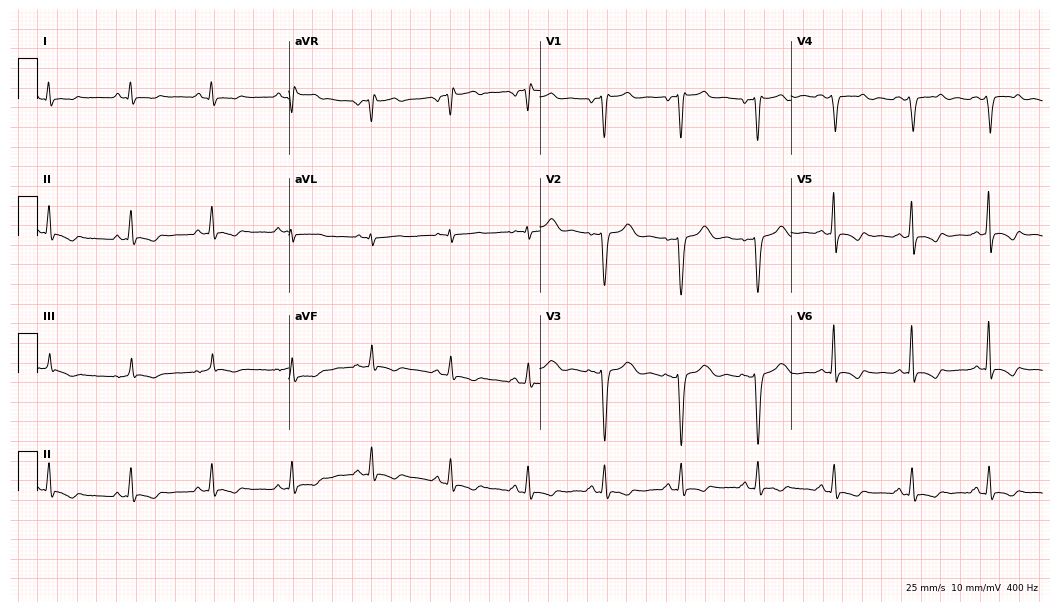
Standard 12-lead ECG recorded from a 46-year-old female. None of these six findings is recorded: first-degree AV block, right bundle branch block, left bundle branch block, sinus bradycardia, atrial fibrillation, sinus tachycardia.